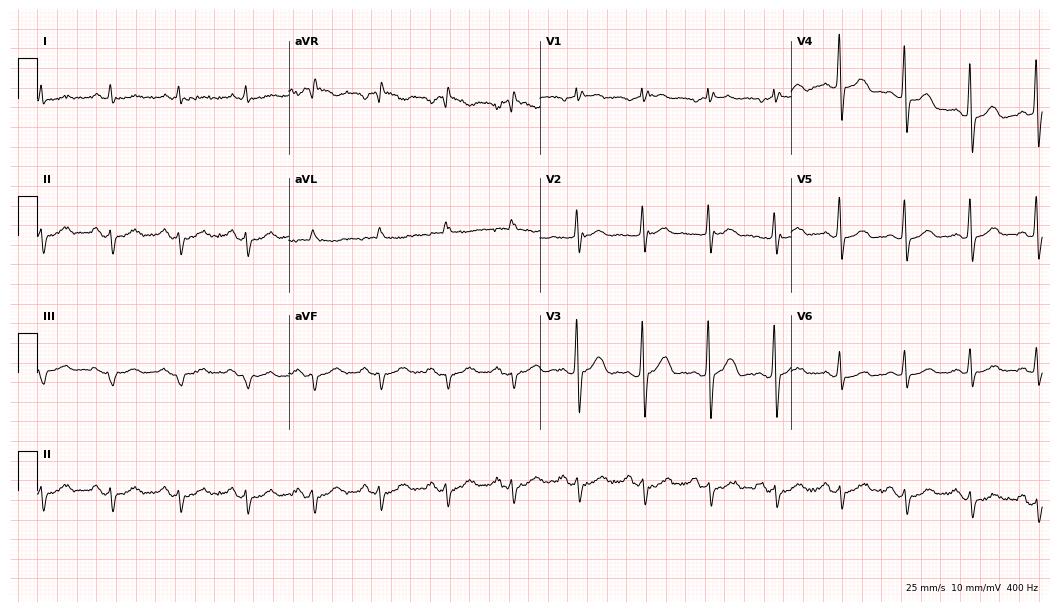
ECG (10.2-second recording at 400 Hz) — a male, 69 years old. Screened for six findings — first-degree AV block, right bundle branch block, left bundle branch block, sinus bradycardia, atrial fibrillation, sinus tachycardia — none is recorded. Other findings, if any, are not listed.